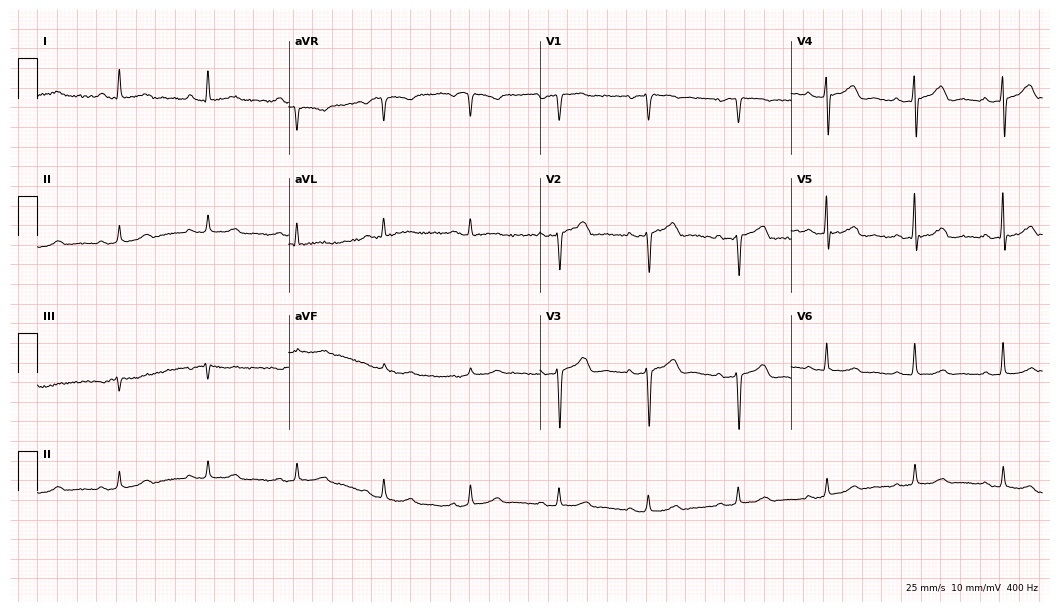
12-lead ECG from a female, 70 years old (10.2-second recording at 400 Hz). Recorded interpretation: within normal limits.